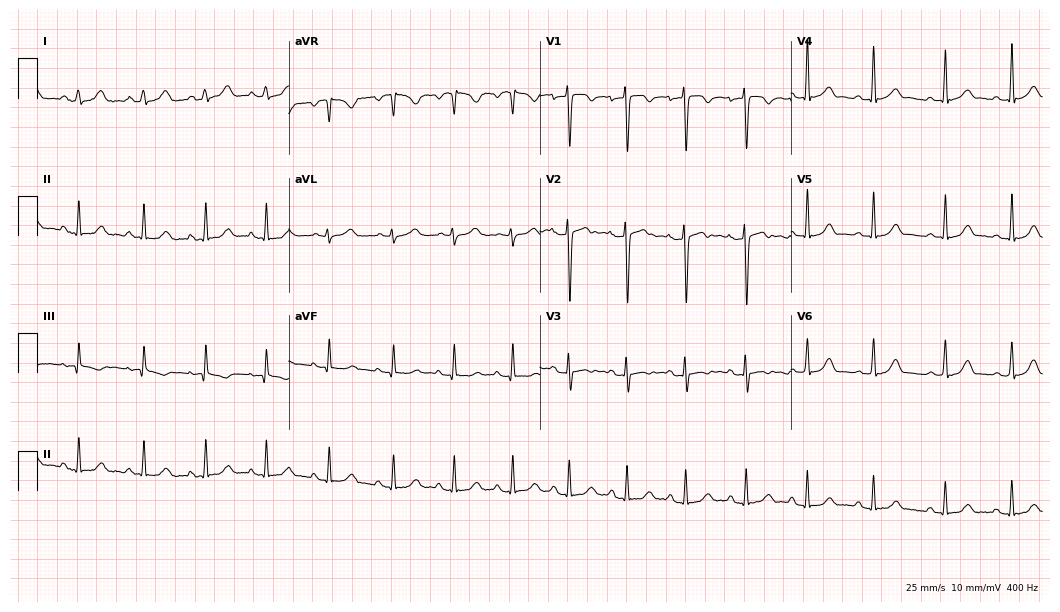
12-lead ECG from a 19-year-old female patient (10.2-second recording at 400 Hz). Recorded interpretation: within normal limits.